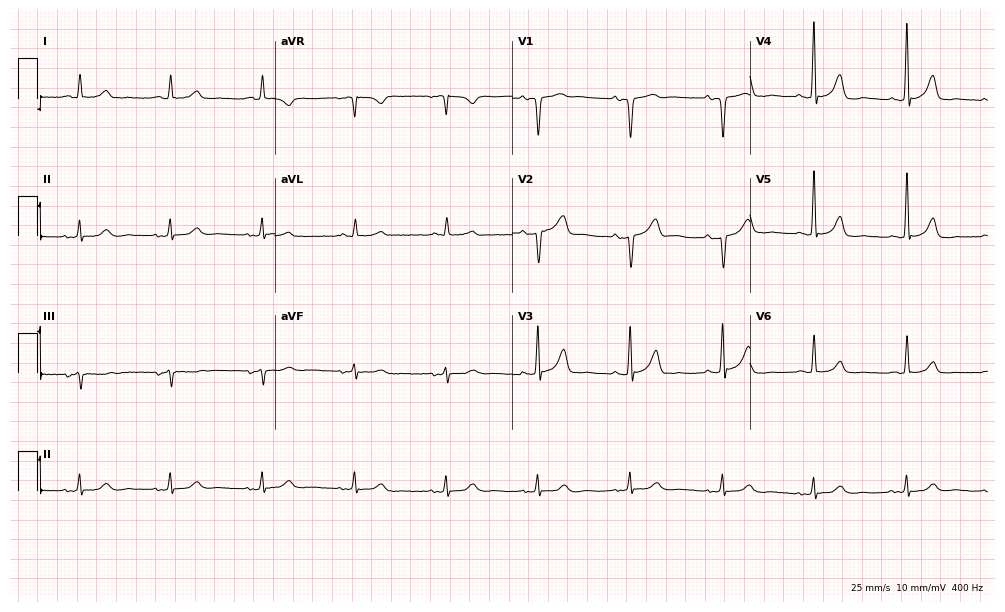
12-lead ECG from a male, 83 years old (9.7-second recording at 400 Hz). No first-degree AV block, right bundle branch block (RBBB), left bundle branch block (LBBB), sinus bradycardia, atrial fibrillation (AF) or sinus tachycardia recorded for this tracing. Other findings, if any, are not listed.